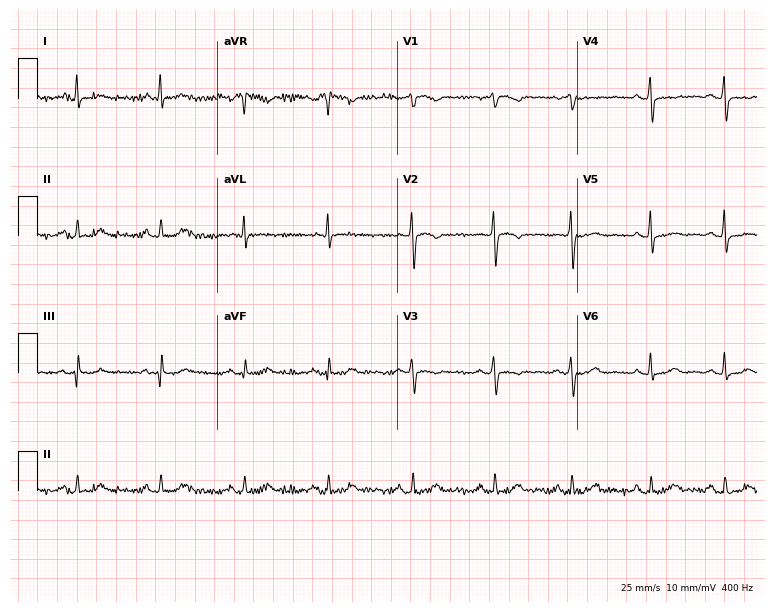
ECG — a woman, 55 years old. Screened for six findings — first-degree AV block, right bundle branch block, left bundle branch block, sinus bradycardia, atrial fibrillation, sinus tachycardia — none is recorded. Only these six findings were labelled.